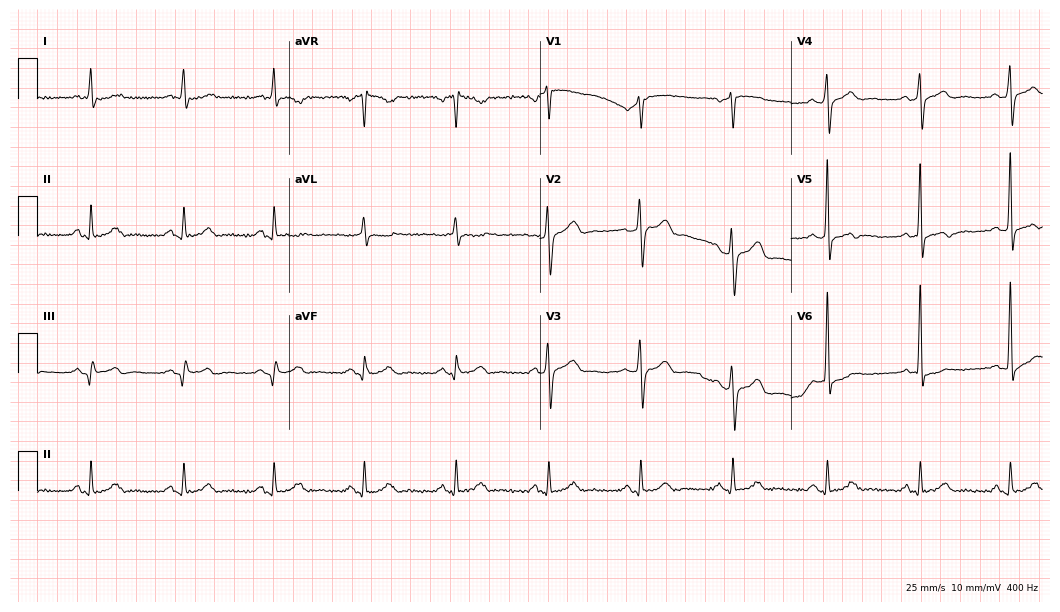
Electrocardiogram (10.2-second recording at 400 Hz), a 75-year-old man. Of the six screened findings (first-degree AV block, right bundle branch block, left bundle branch block, sinus bradycardia, atrial fibrillation, sinus tachycardia), none is recorded.